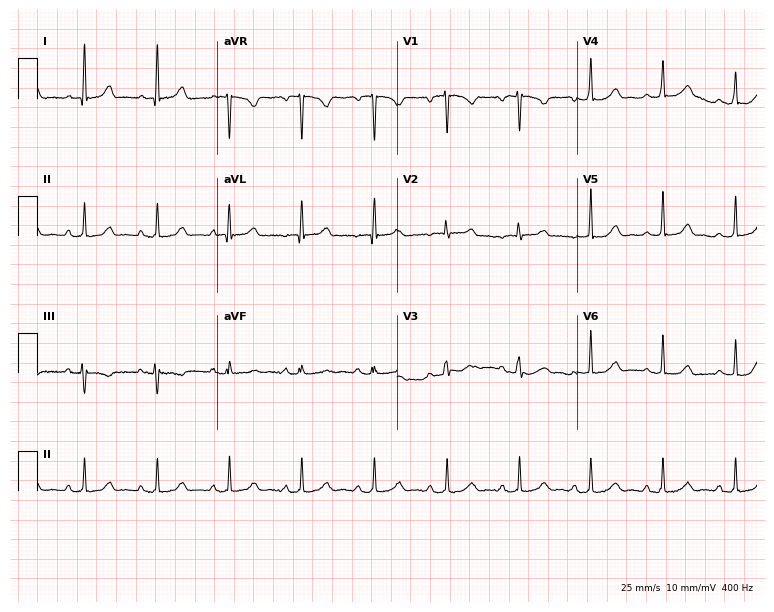
ECG — a woman, 25 years old. Labelled as a normal ECG.